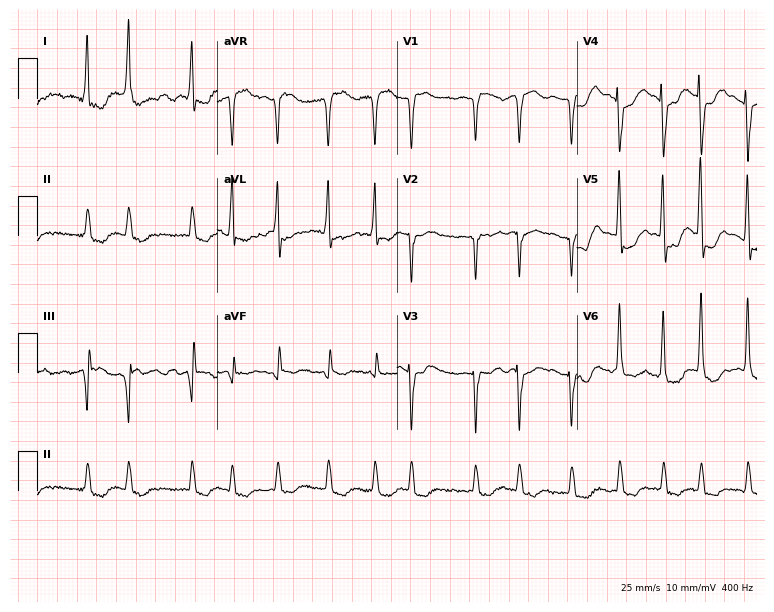
Standard 12-lead ECG recorded from a female patient, 82 years old (7.3-second recording at 400 Hz). The tracing shows atrial fibrillation.